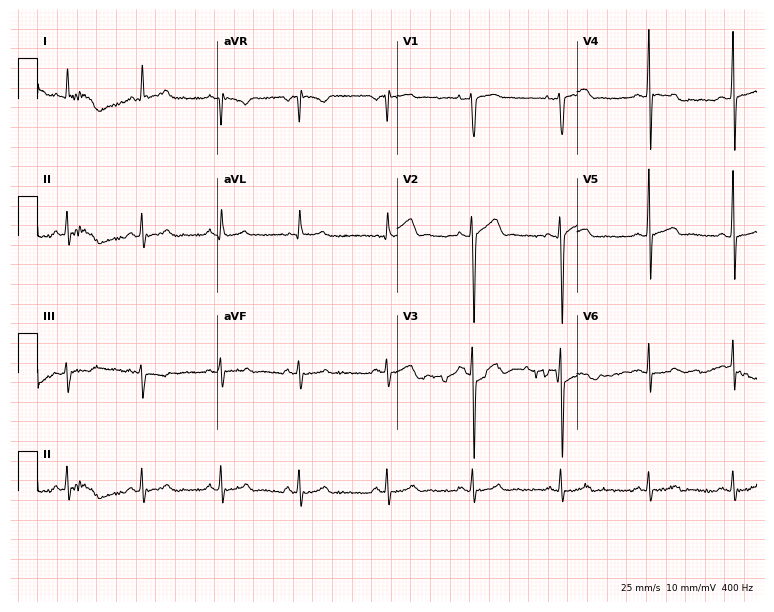
Standard 12-lead ECG recorded from a male, 25 years old. Read as a normal ECG.